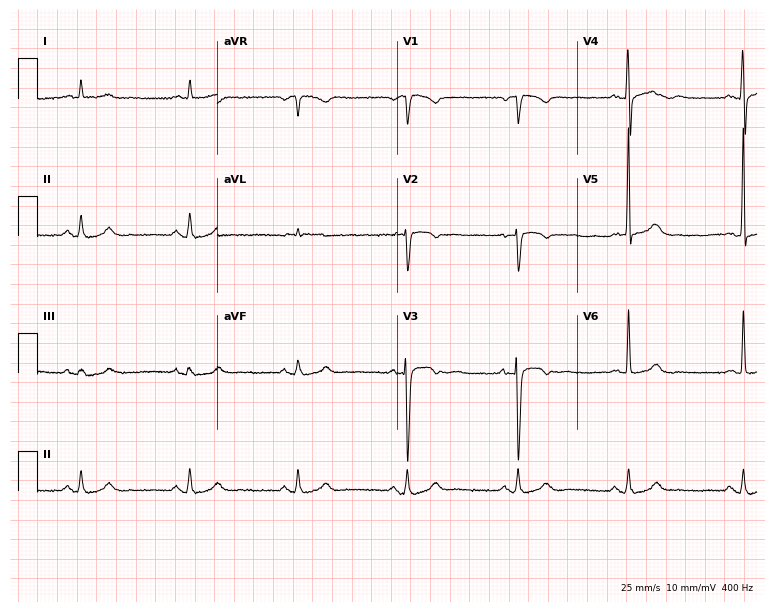
Electrocardiogram, a 79-year-old man. Of the six screened findings (first-degree AV block, right bundle branch block (RBBB), left bundle branch block (LBBB), sinus bradycardia, atrial fibrillation (AF), sinus tachycardia), none is recorded.